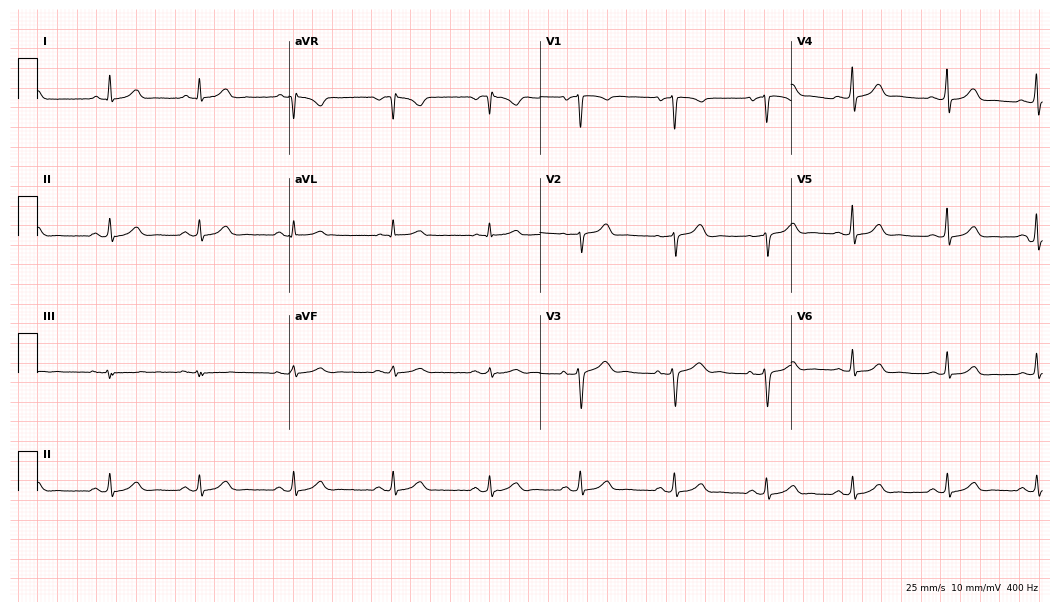
Standard 12-lead ECG recorded from a woman, 41 years old. Read as a normal ECG.